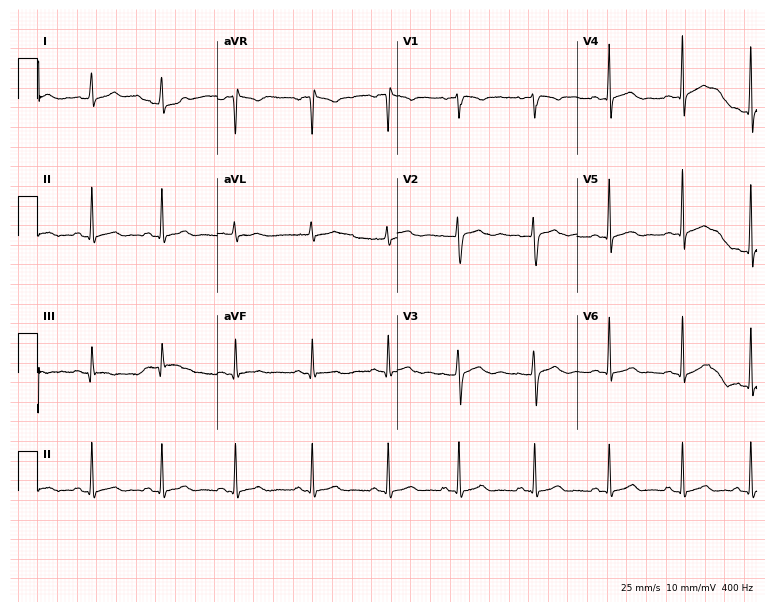
Electrocardiogram, a 21-year-old female. Overall reading on record: normal ECG.